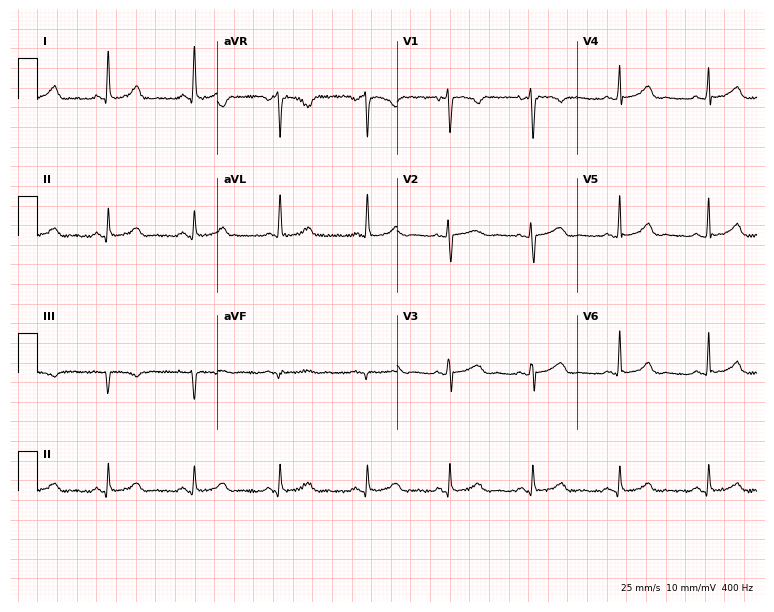
Electrocardiogram, a 41-year-old female. Overall reading on record: normal ECG.